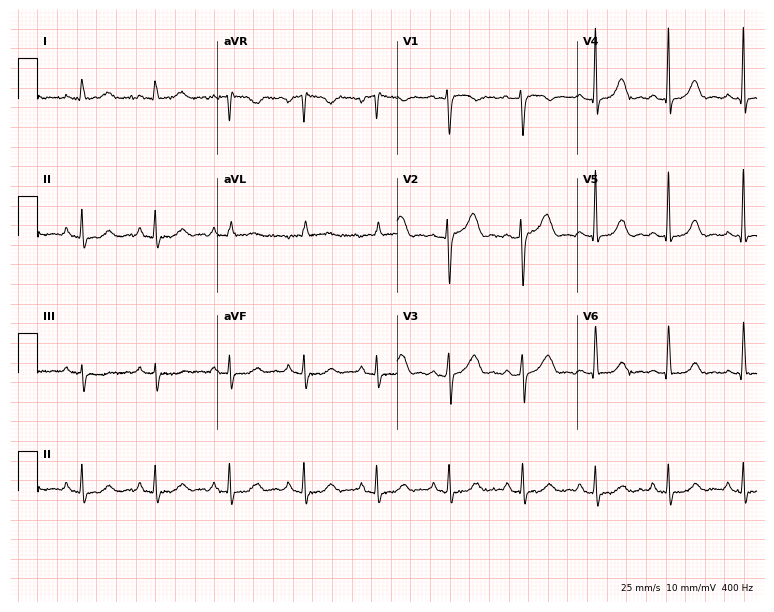
Standard 12-lead ECG recorded from a 41-year-old woman (7.3-second recording at 400 Hz). None of these six findings is recorded: first-degree AV block, right bundle branch block, left bundle branch block, sinus bradycardia, atrial fibrillation, sinus tachycardia.